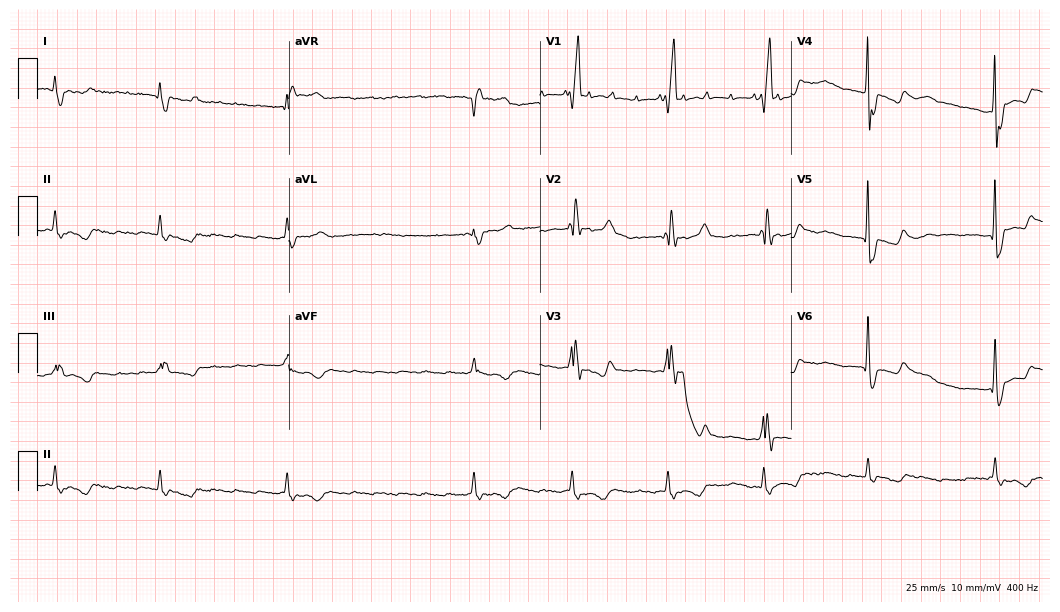
12-lead ECG from an 81-year-old male. Shows right bundle branch block (RBBB), atrial fibrillation (AF).